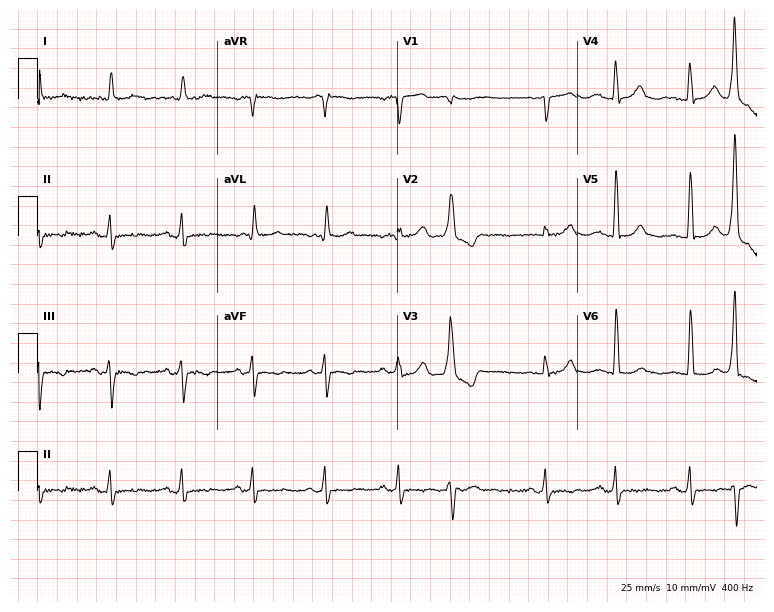
Standard 12-lead ECG recorded from a 72-year-old man. None of these six findings is recorded: first-degree AV block, right bundle branch block, left bundle branch block, sinus bradycardia, atrial fibrillation, sinus tachycardia. Findings outside these six are not listed.